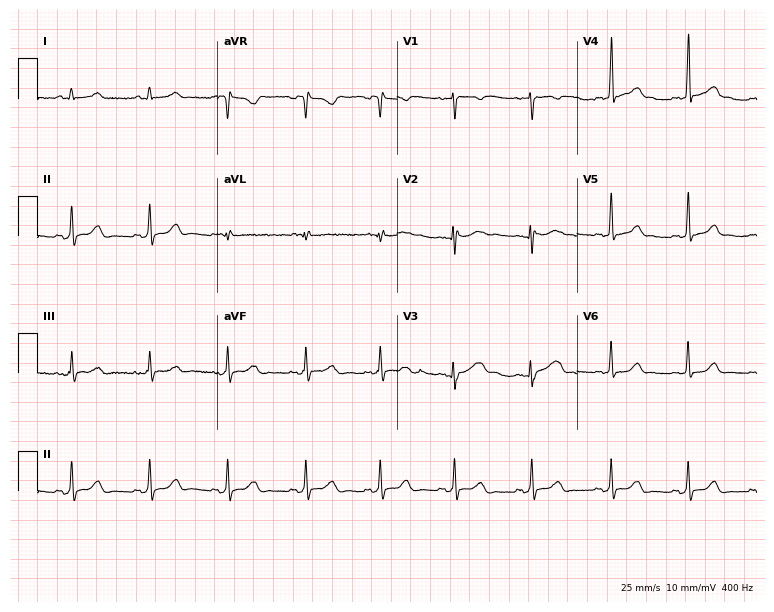
12-lead ECG from a female patient, 30 years old. Recorded interpretation: within normal limits.